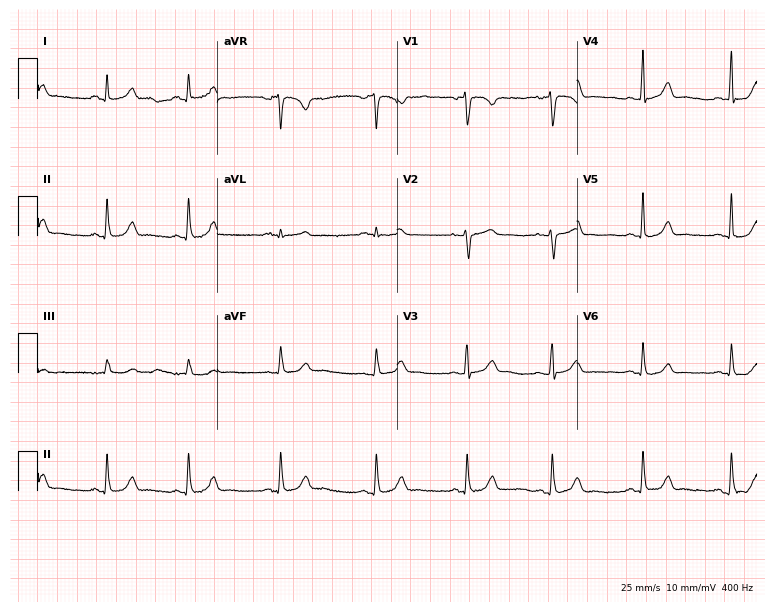
ECG (7.3-second recording at 400 Hz) — a female patient, 21 years old. Labelled as a normal ECG.